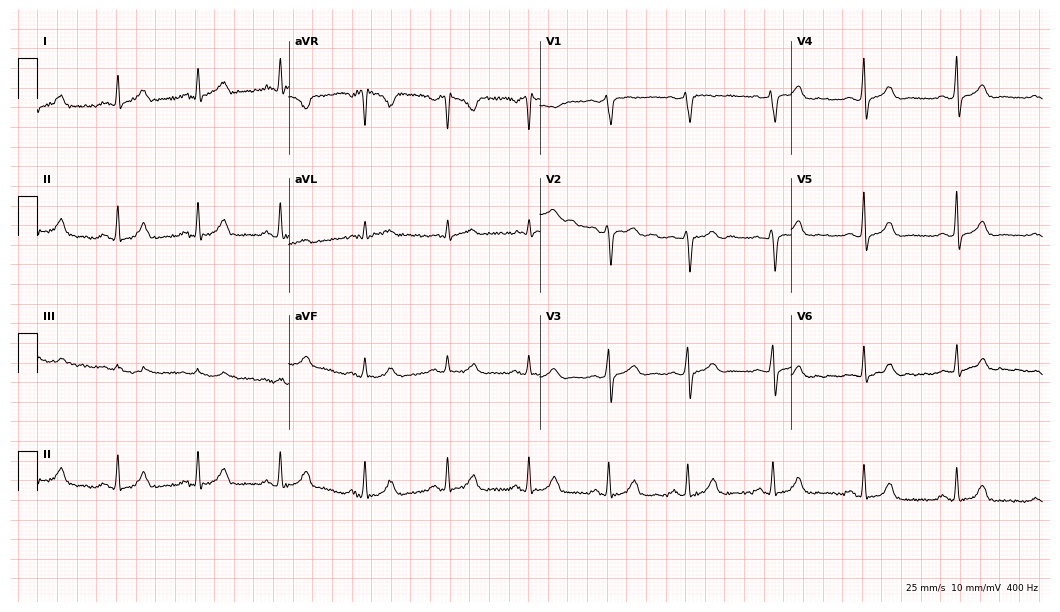
12-lead ECG (10.2-second recording at 400 Hz) from a male, 48 years old. Labelled as a normal ECG.